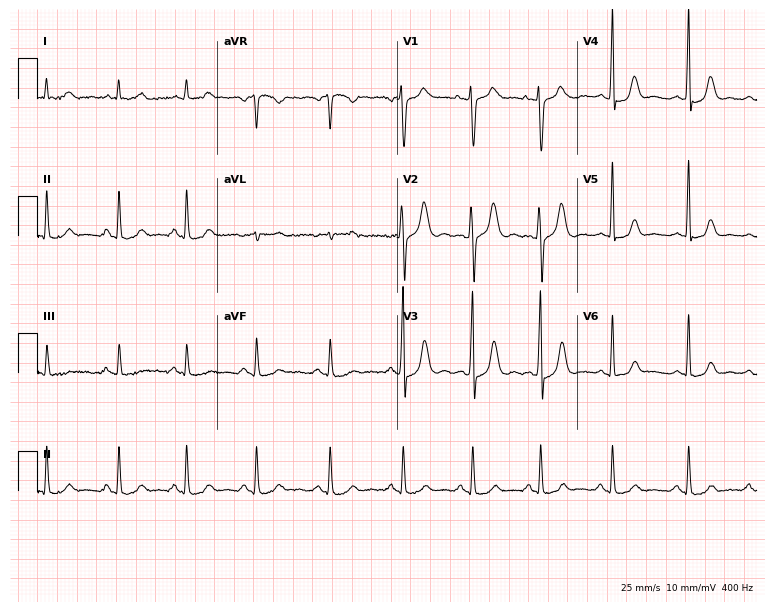
Standard 12-lead ECG recorded from a 35-year-old woman. Read as a normal ECG.